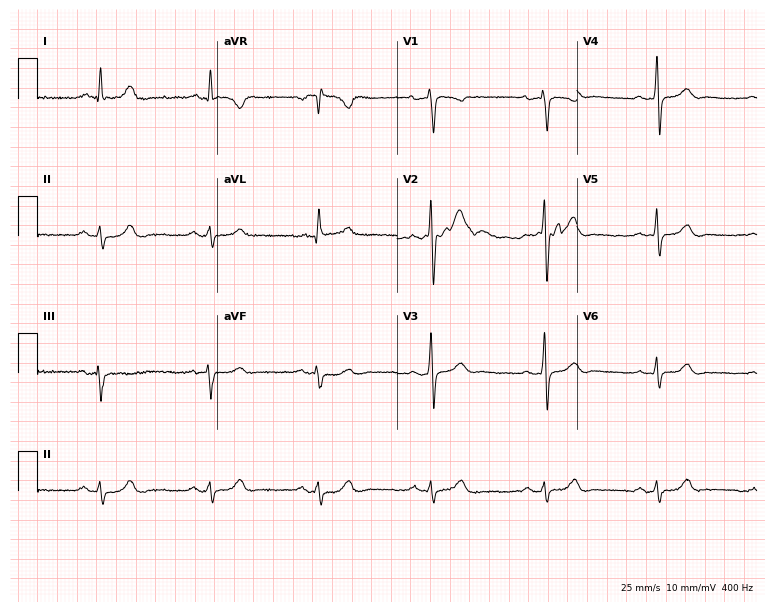
12-lead ECG from a man, 76 years old. Screened for six findings — first-degree AV block, right bundle branch block, left bundle branch block, sinus bradycardia, atrial fibrillation, sinus tachycardia — none is recorded. Findings outside these six are not listed.